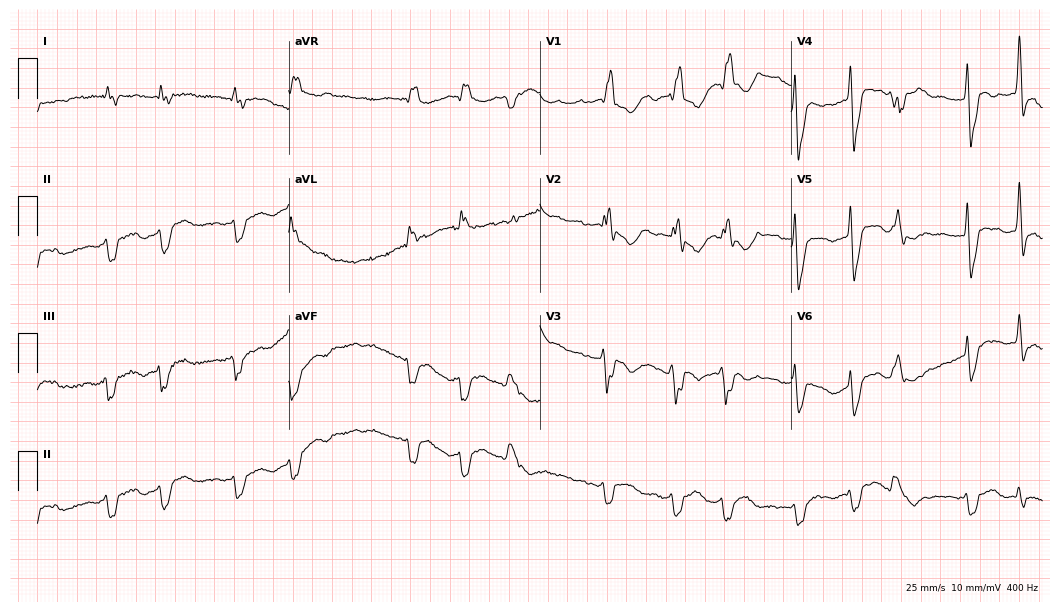
12-lead ECG from a female patient, 62 years old (10.2-second recording at 400 Hz). No first-degree AV block, right bundle branch block, left bundle branch block, sinus bradycardia, atrial fibrillation or sinus tachycardia recorded for this tracing. Findings outside these six are not listed.